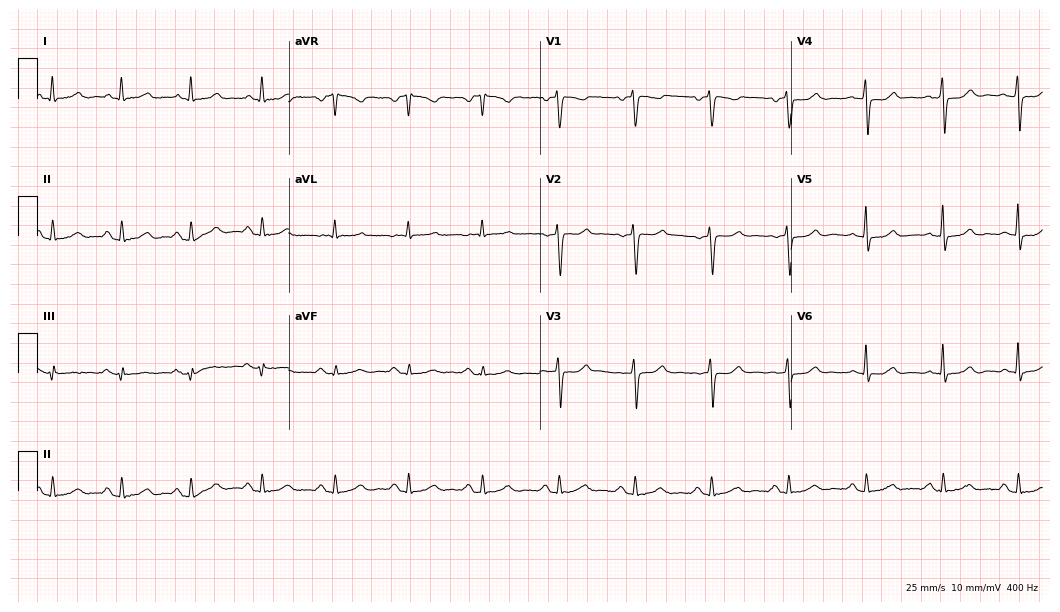
ECG (10.2-second recording at 400 Hz) — a 59-year-old female patient. Labelled as a normal ECG.